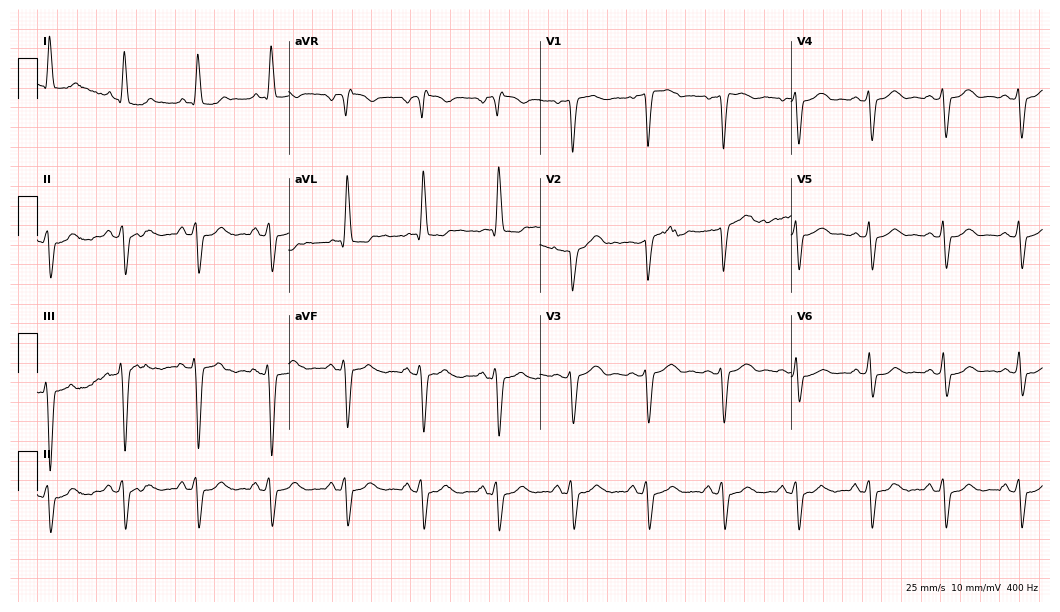
ECG — a 41-year-old female patient. Screened for six findings — first-degree AV block, right bundle branch block, left bundle branch block, sinus bradycardia, atrial fibrillation, sinus tachycardia — none is recorded. Only these six findings were labelled.